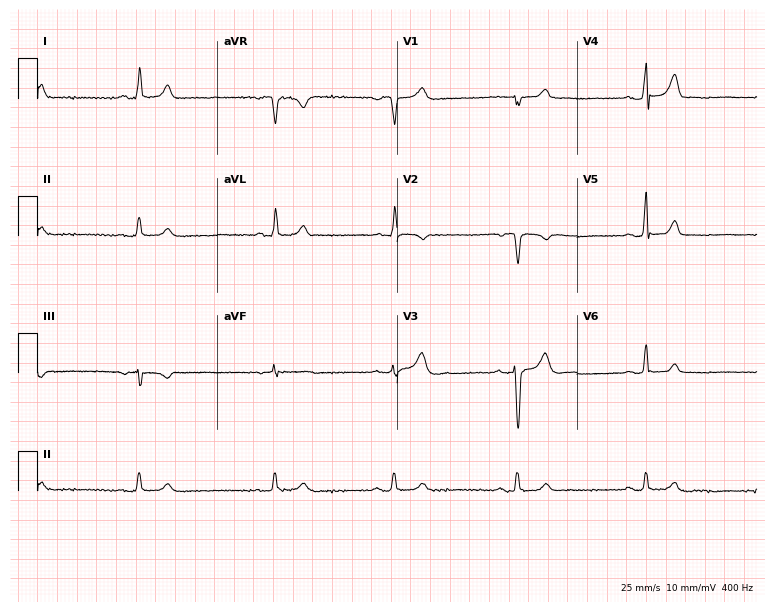
Resting 12-lead electrocardiogram (7.3-second recording at 400 Hz). Patient: a male, 75 years old. Read as a normal ECG.